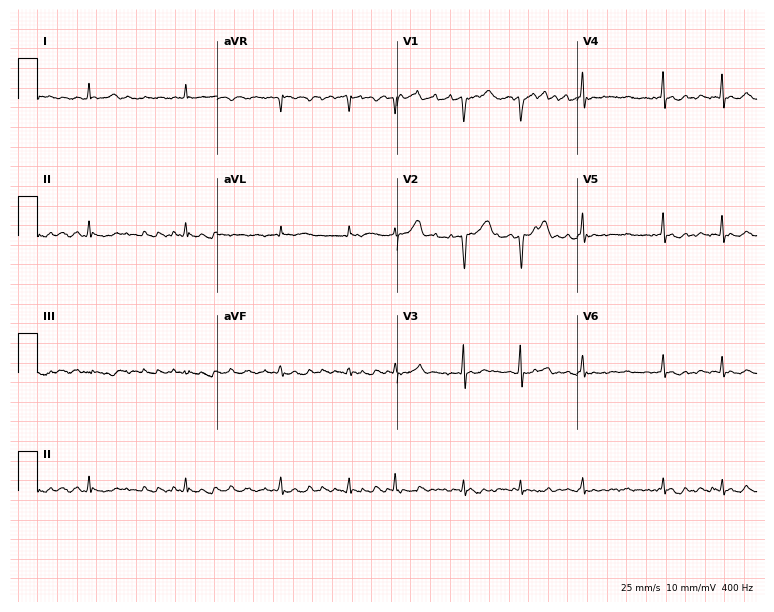
Electrocardiogram (7.3-second recording at 400 Hz), a male, 57 years old. Interpretation includes atrial fibrillation.